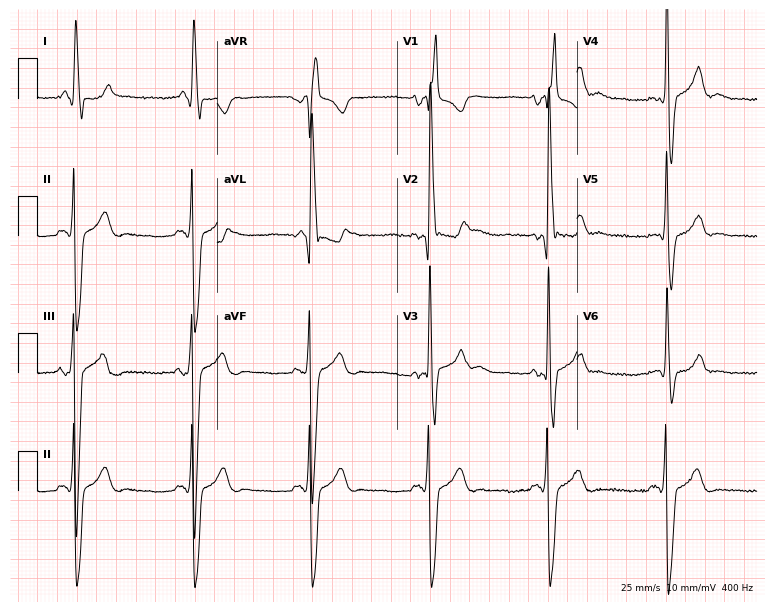
Electrocardiogram (7.3-second recording at 400 Hz), a 57-year-old female patient. Interpretation includes right bundle branch block.